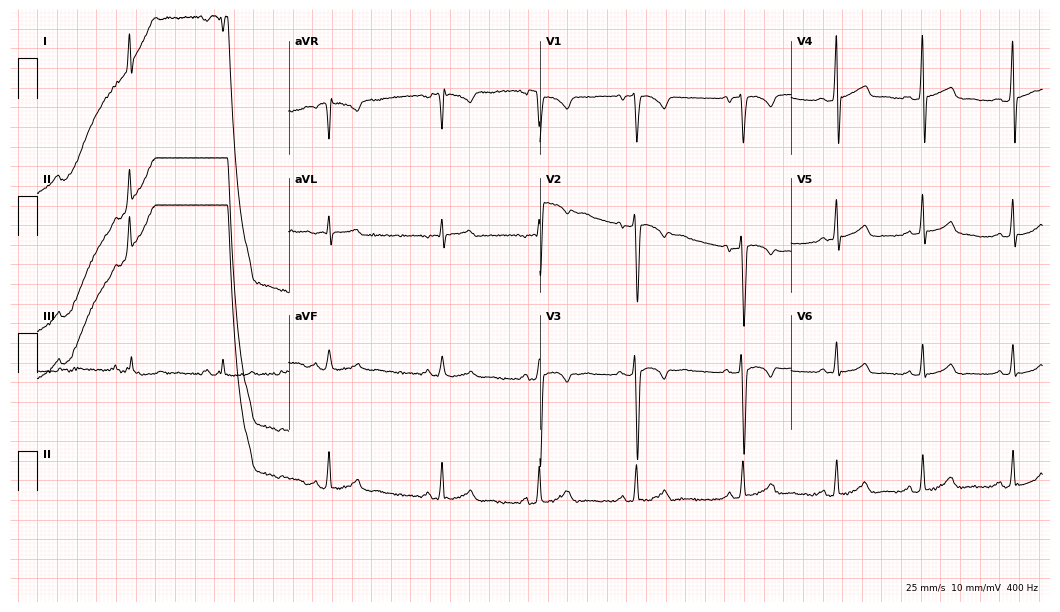
Resting 12-lead electrocardiogram (10.2-second recording at 400 Hz). Patient: a male, 30 years old. None of these six findings is recorded: first-degree AV block, right bundle branch block, left bundle branch block, sinus bradycardia, atrial fibrillation, sinus tachycardia.